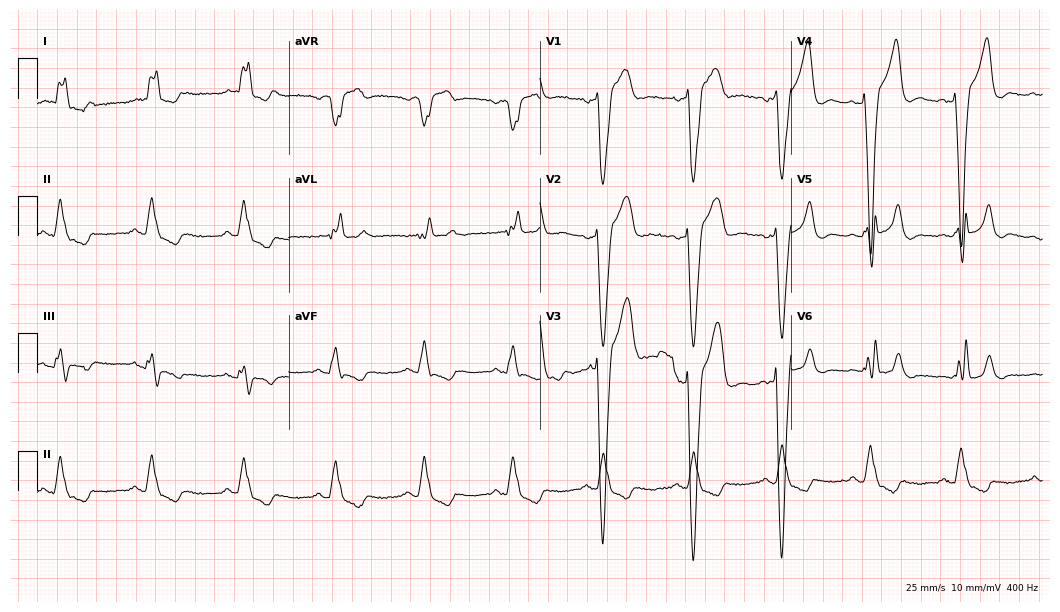
Resting 12-lead electrocardiogram (10.2-second recording at 400 Hz). Patient: a 75-year-old man. The tracing shows left bundle branch block.